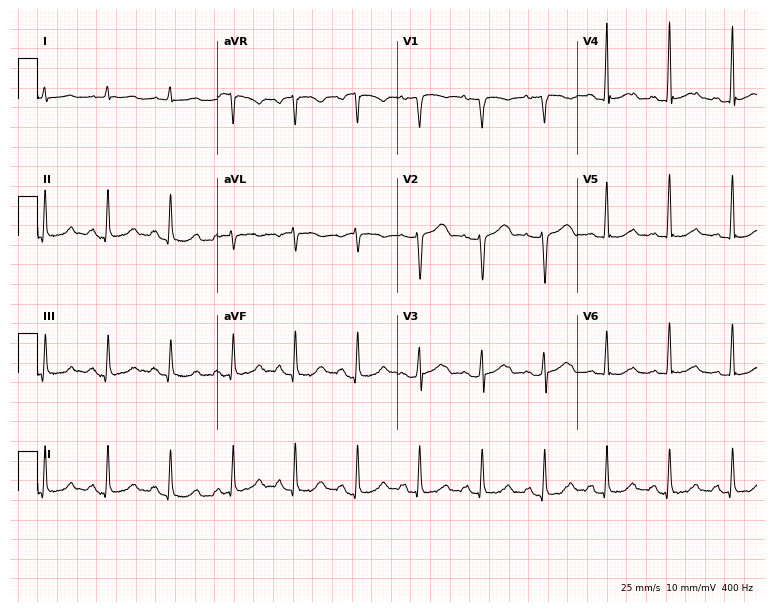
Electrocardiogram (7.3-second recording at 400 Hz), a 48-year-old female patient. Of the six screened findings (first-degree AV block, right bundle branch block (RBBB), left bundle branch block (LBBB), sinus bradycardia, atrial fibrillation (AF), sinus tachycardia), none is recorded. Other findings, if any, are not listed.